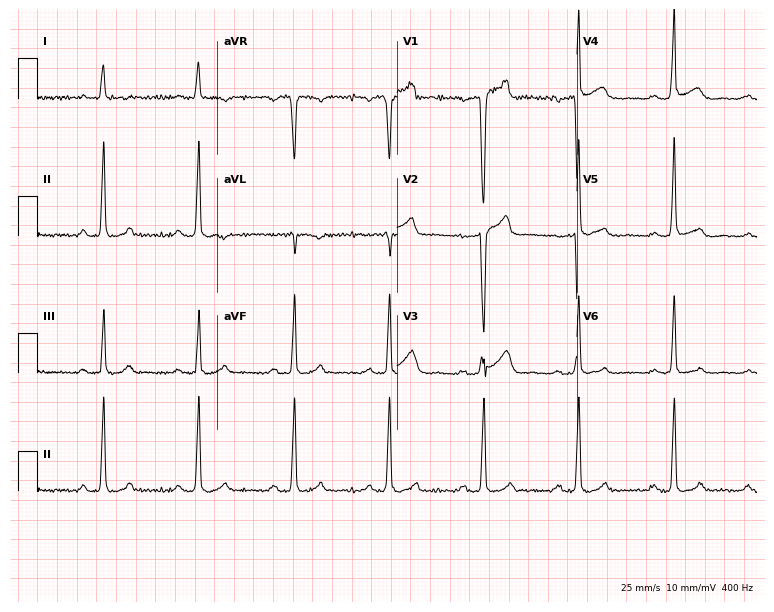
Electrocardiogram, a 62-year-old man. Overall reading on record: normal ECG.